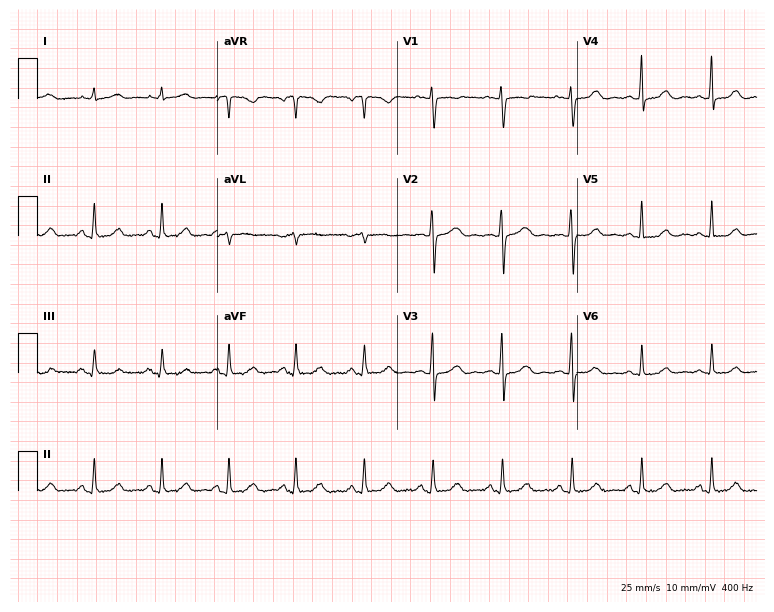
Electrocardiogram (7.3-second recording at 400 Hz), a female, 46 years old. Of the six screened findings (first-degree AV block, right bundle branch block (RBBB), left bundle branch block (LBBB), sinus bradycardia, atrial fibrillation (AF), sinus tachycardia), none is recorded. Findings outside these six are not listed.